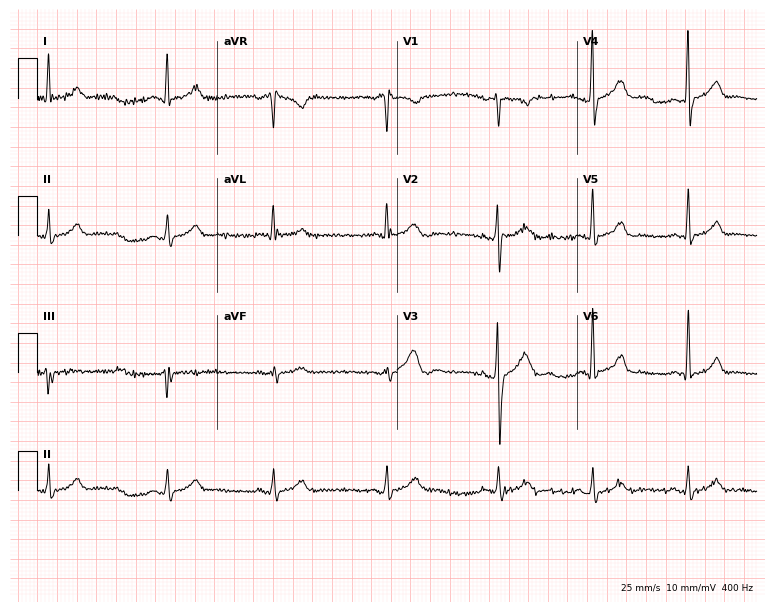
Electrocardiogram (7.3-second recording at 400 Hz), a male, 31 years old. Overall reading on record: normal ECG.